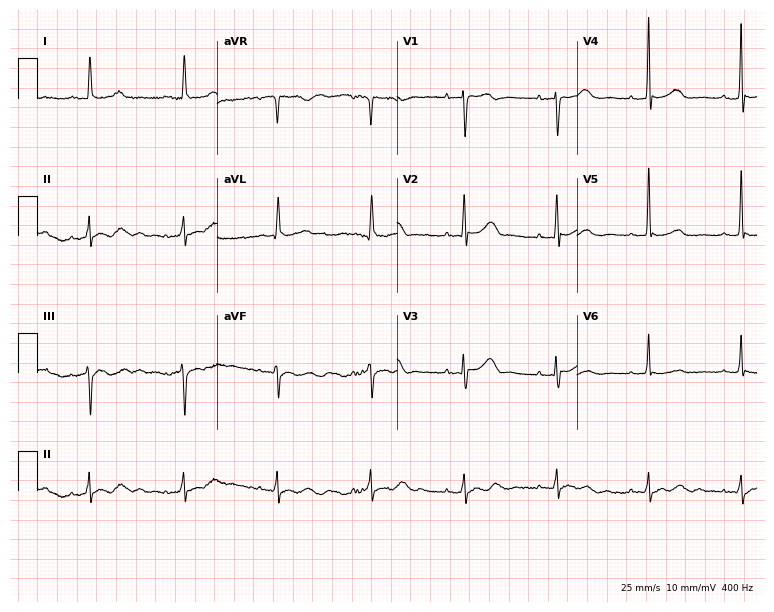
12-lead ECG (7.3-second recording at 400 Hz) from an 83-year-old female. Labelled as a normal ECG.